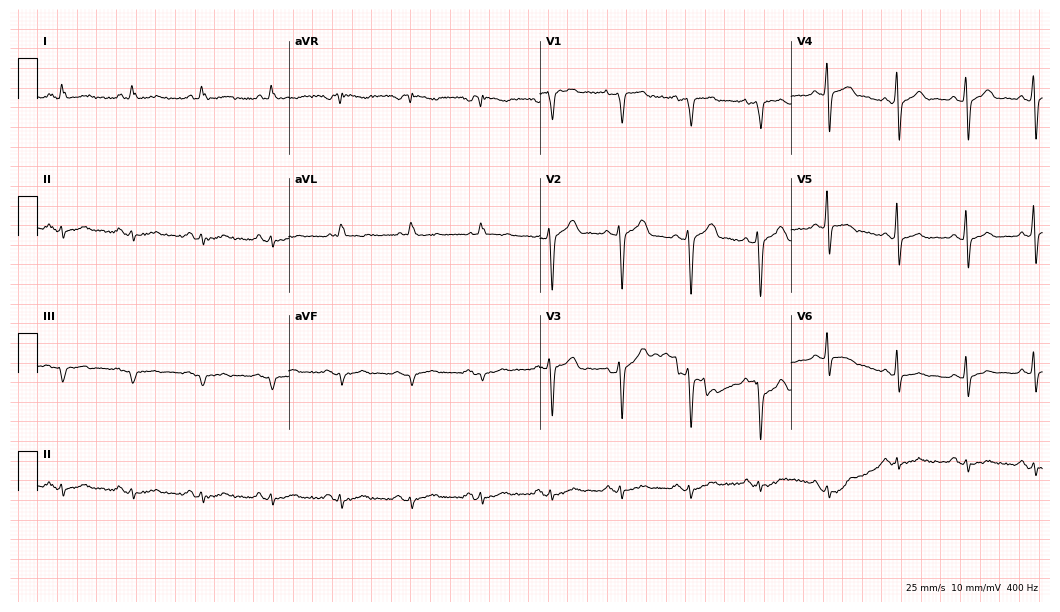
Electrocardiogram (10.2-second recording at 400 Hz), a male, 72 years old. Overall reading on record: normal ECG.